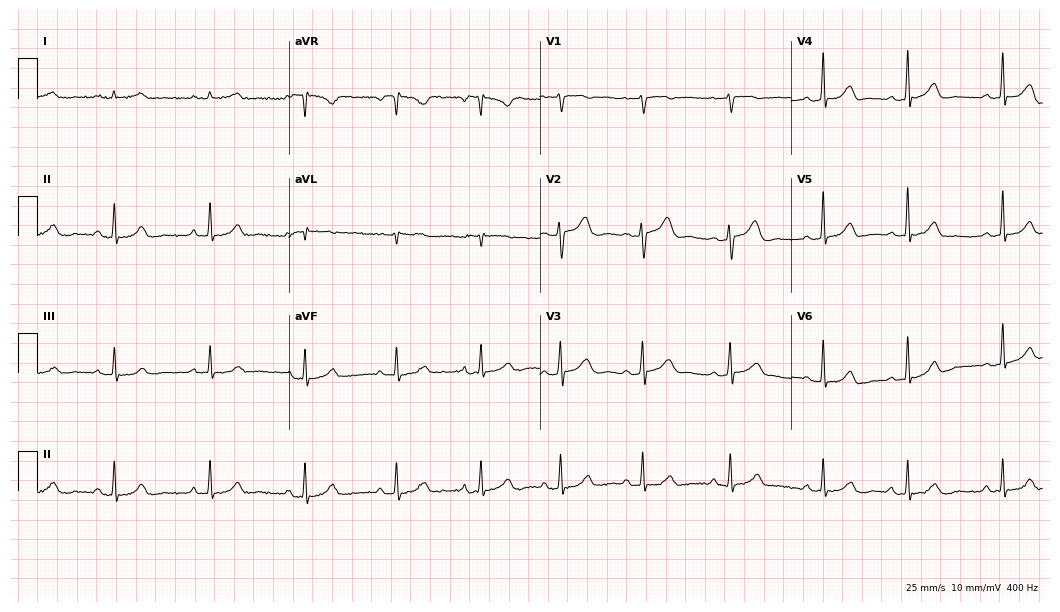
12-lead ECG (10.2-second recording at 400 Hz) from a woman, 36 years old. Labelled as a normal ECG.